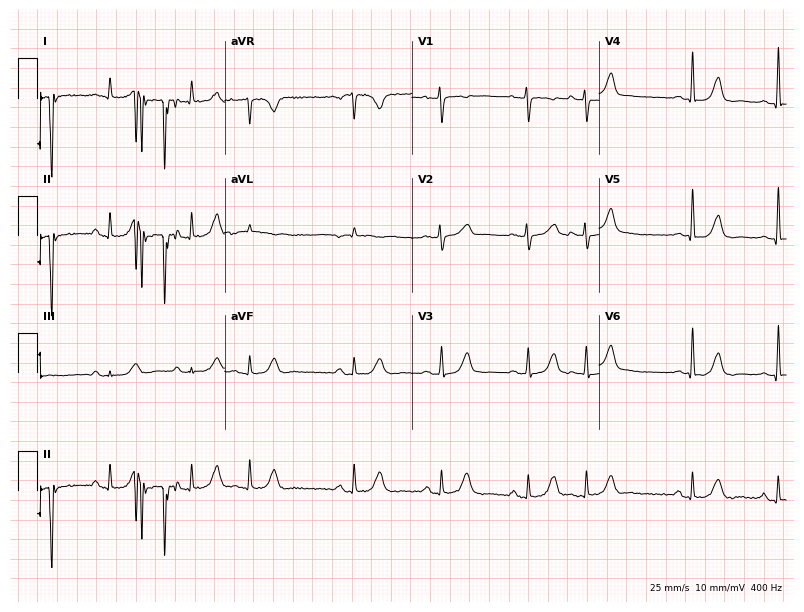
Standard 12-lead ECG recorded from a woman, 72 years old (7.6-second recording at 400 Hz). Read as a normal ECG.